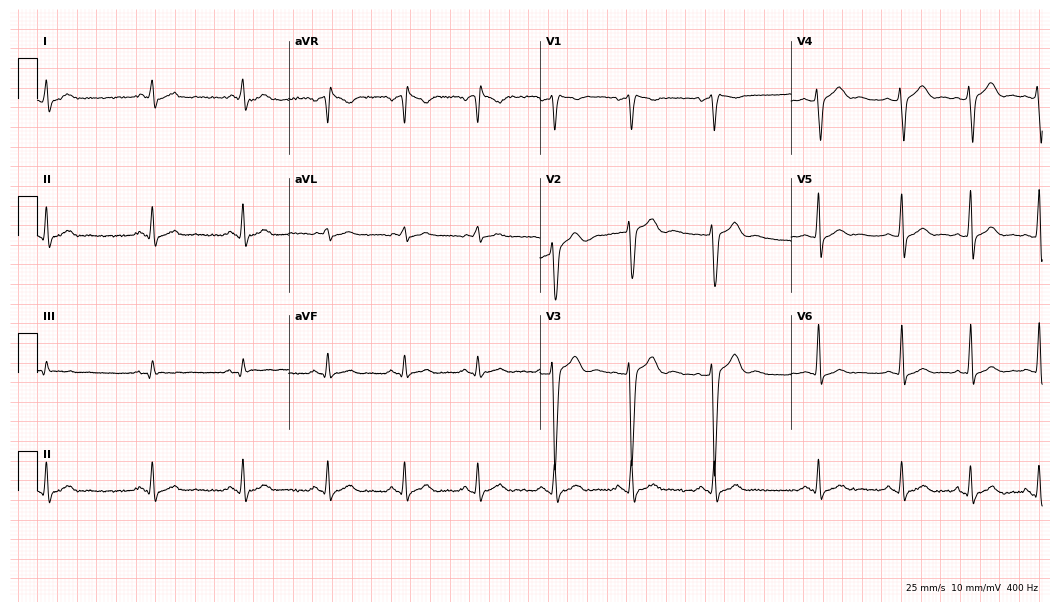
12-lead ECG from a man, 32 years old (10.2-second recording at 400 Hz). No first-degree AV block, right bundle branch block (RBBB), left bundle branch block (LBBB), sinus bradycardia, atrial fibrillation (AF) or sinus tachycardia recorded for this tracing. Findings outside these six are not listed.